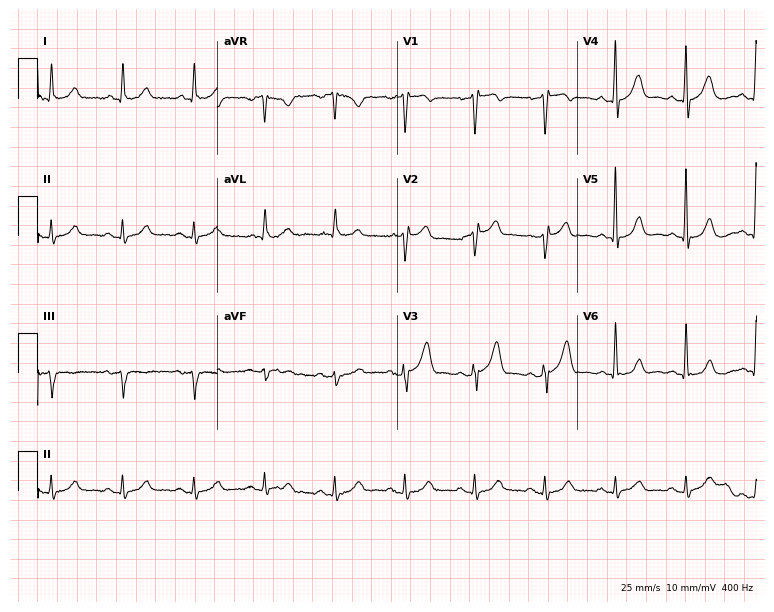
Electrocardiogram, a 62-year-old male patient. Overall reading on record: normal ECG.